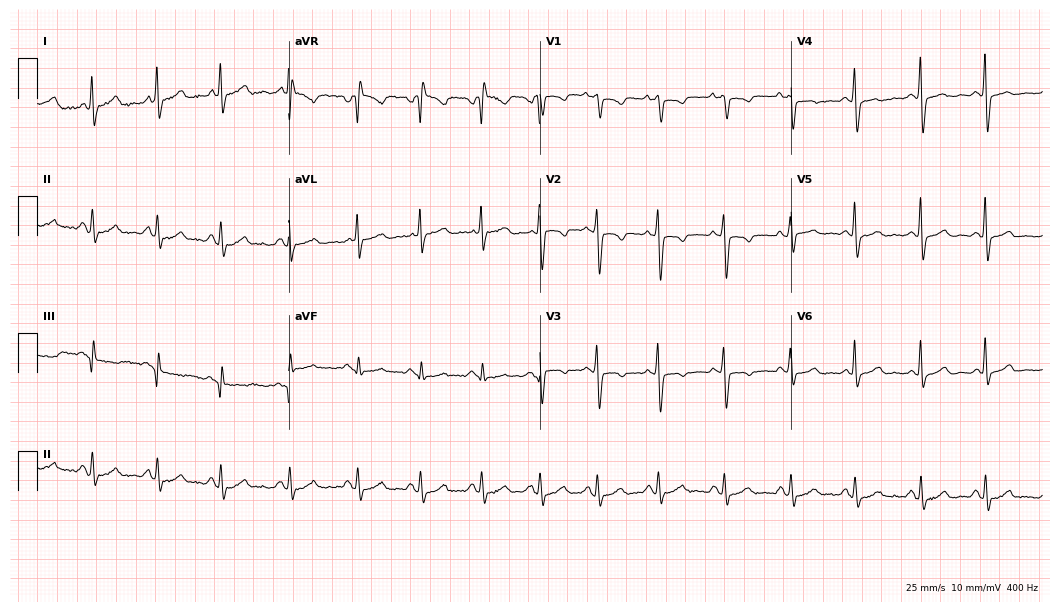
Standard 12-lead ECG recorded from a 49-year-old female patient (10.2-second recording at 400 Hz). None of these six findings is recorded: first-degree AV block, right bundle branch block (RBBB), left bundle branch block (LBBB), sinus bradycardia, atrial fibrillation (AF), sinus tachycardia. Only these six findings were labelled.